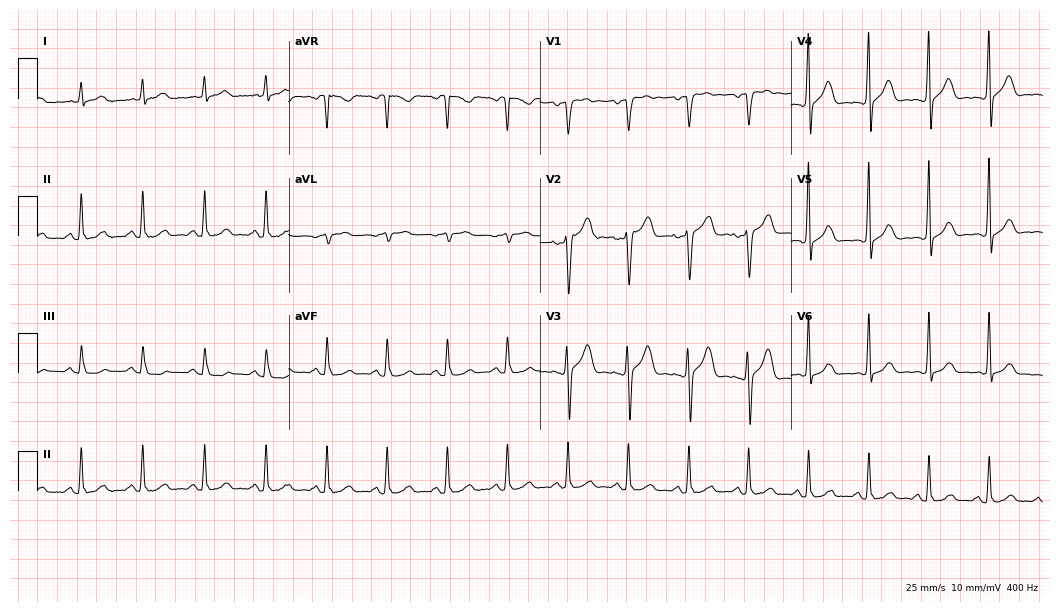
12-lead ECG from a 52-year-old male (10.2-second recording at 400 Hz). Recorded interpretation: within normal limits.